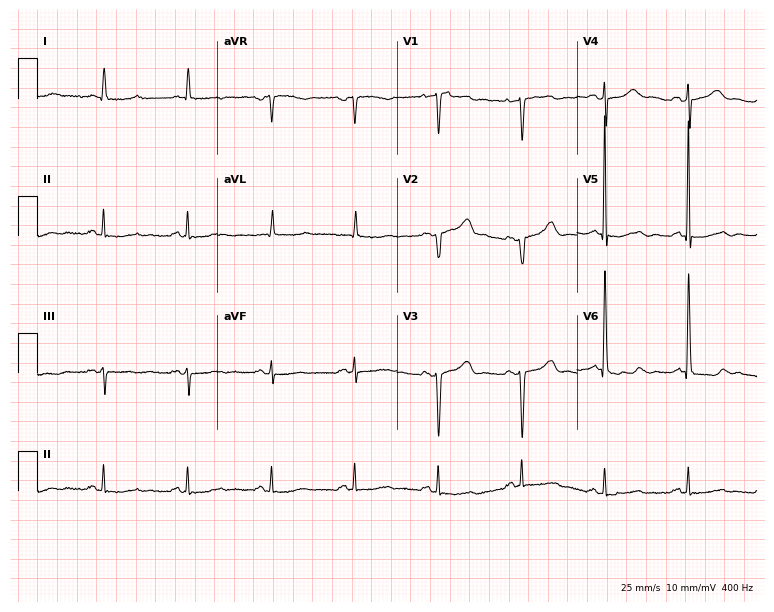
12-lead ECG (7.3-second recording at 400 Hz) from a 75-year-old female. Screened for six findings — first-degree AV block, right bundle branch block, left bundle branch block, sinus bradycardia, atrial fibrillation, sinus tachycardia — none is recorded.